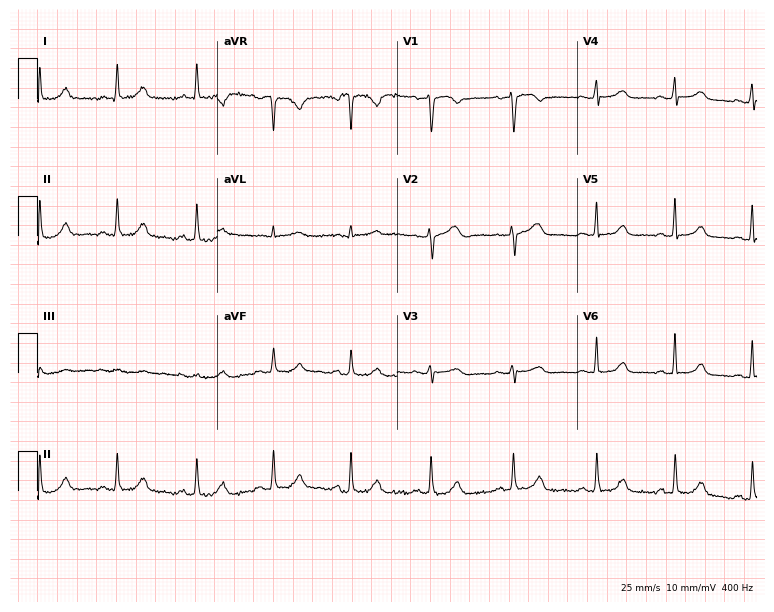
Electrocardiogram, a 51-year-old female. Overall reading on record: normal ECG.